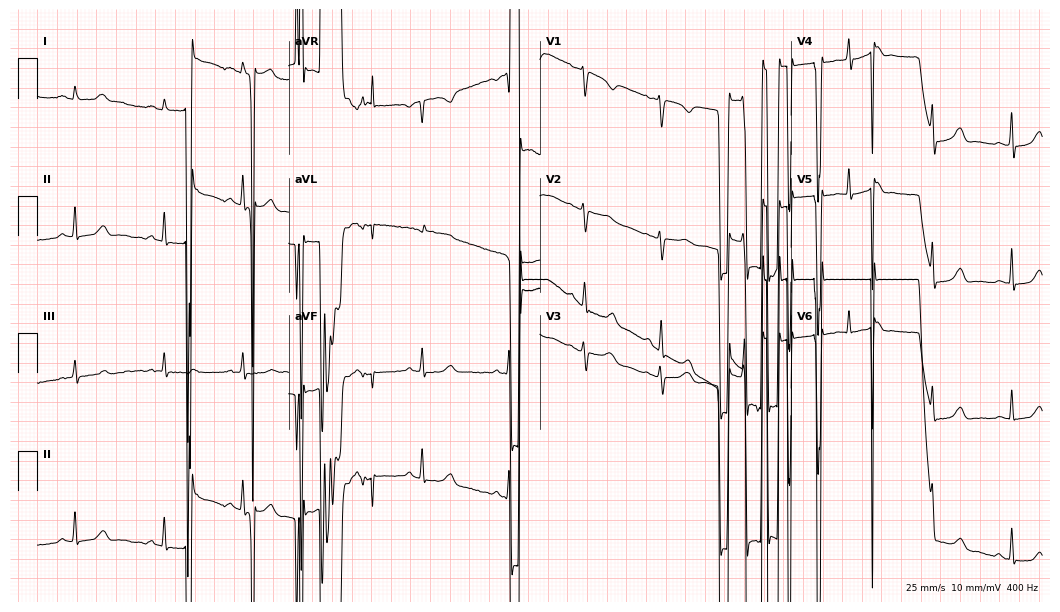
ECG — a female patient, 25 years old. Screened for six findings — first-degree AV block, right bundle branch block, left bundle branch block, sinus bradycardia, atrial fibrillation, sinus tachycardia — none is recorded.